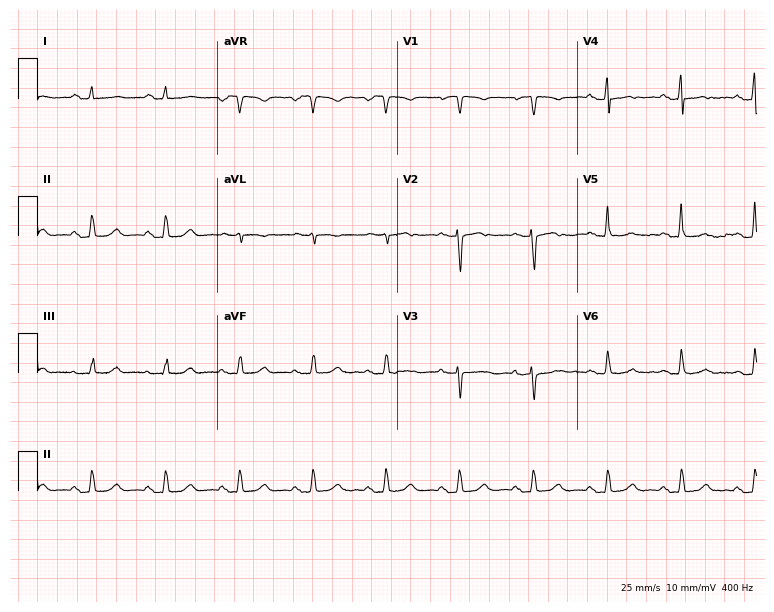
Electrocardiogram, a female patient, 59 years old. Of the six screened findings (first-degree AV block, right bundle branch block (RBBB), left bundle branch block (LBBB), sinus bradycardia, atrial fibrillation (AF), sinus tachycardia), none is recorded. Findings outside these six are not listed.